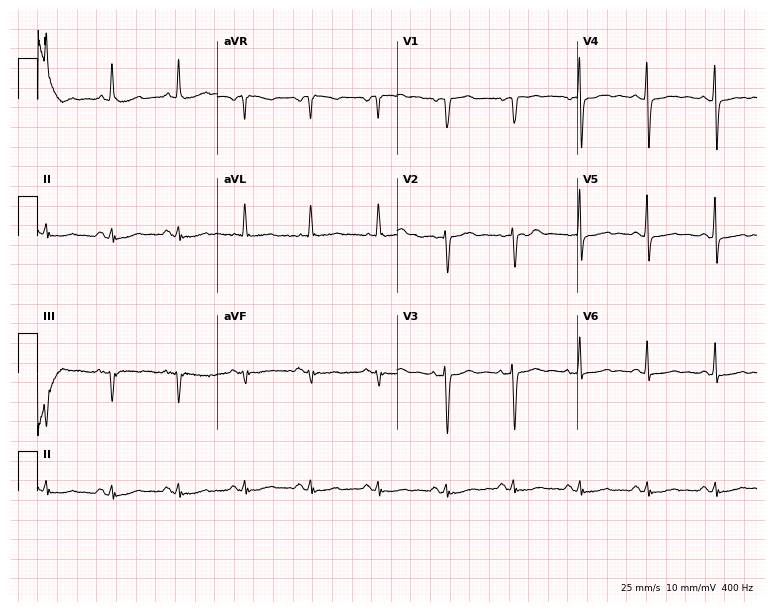
12-lead ECG (7.3-second recording at 400 Hz) from a 68-year-old woman. Screened for six findings — first-degree AV block, right bundle branch block (RBBB), left bundle branch block (LBBB), sinus bradycardia, atrial fibrillation (AF), sinus tachycardia — none is recorded. Other findings, if any, are not listed.